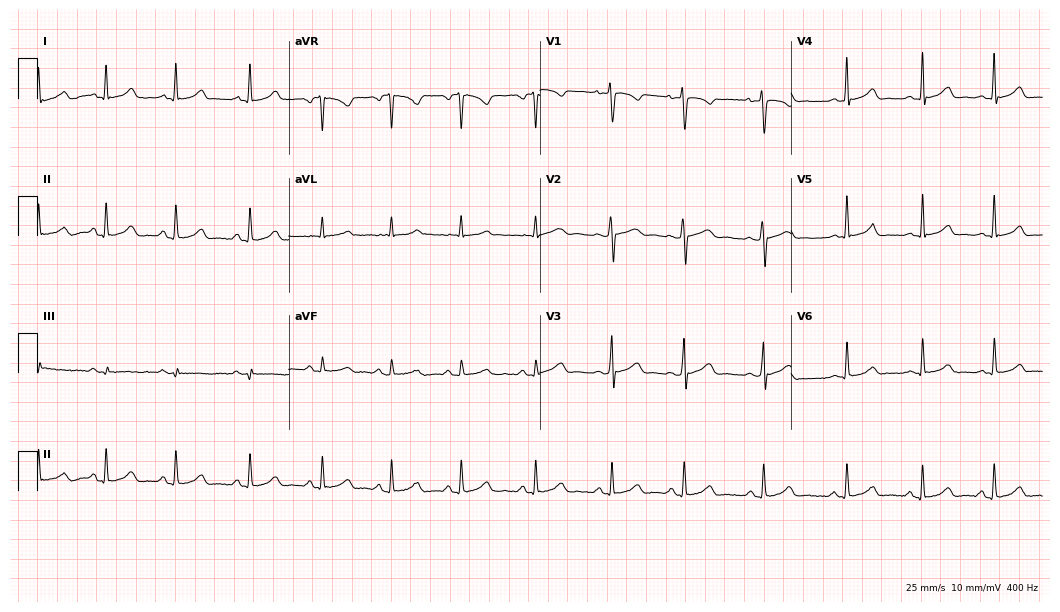
ECG (10.2-second recording at 400 Hz) — a female patient, 24 years old. Screened for six findings — first-degree AV block, right bundle branch block, left bundle branch block, sinus bradycardia, atrial fibrillation, sinus tachycardia — none is recorded. Only these six findings were labelled.